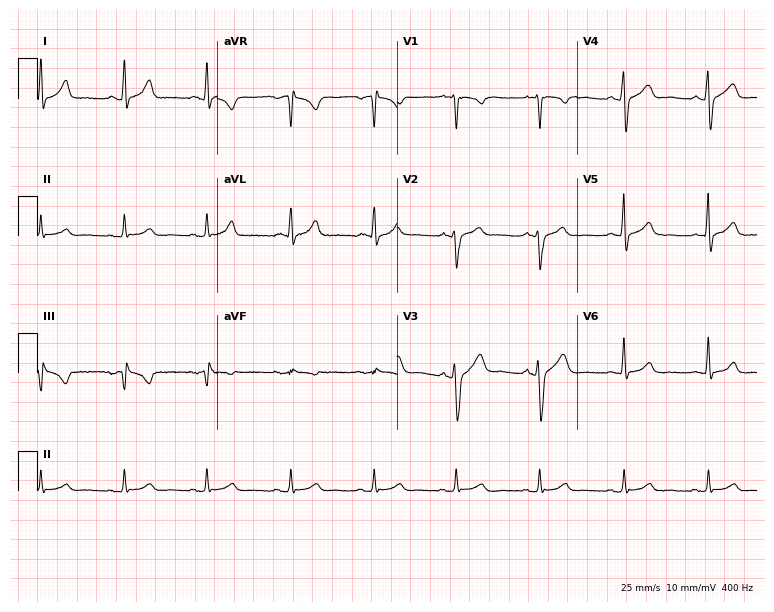
Electrocardiogram (7.3-second recording at 400 Hz), a 37-year-old male. Overall reading on record: normal ECG.